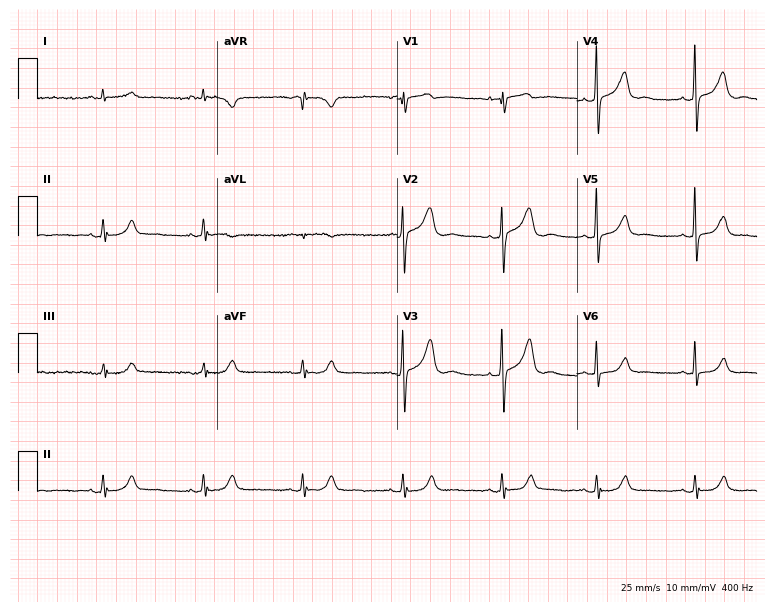
Standard 12-lead ECG recorded from a male, 74 years old (7.3-second recording at 400 Hz). Read as a normal ECG.